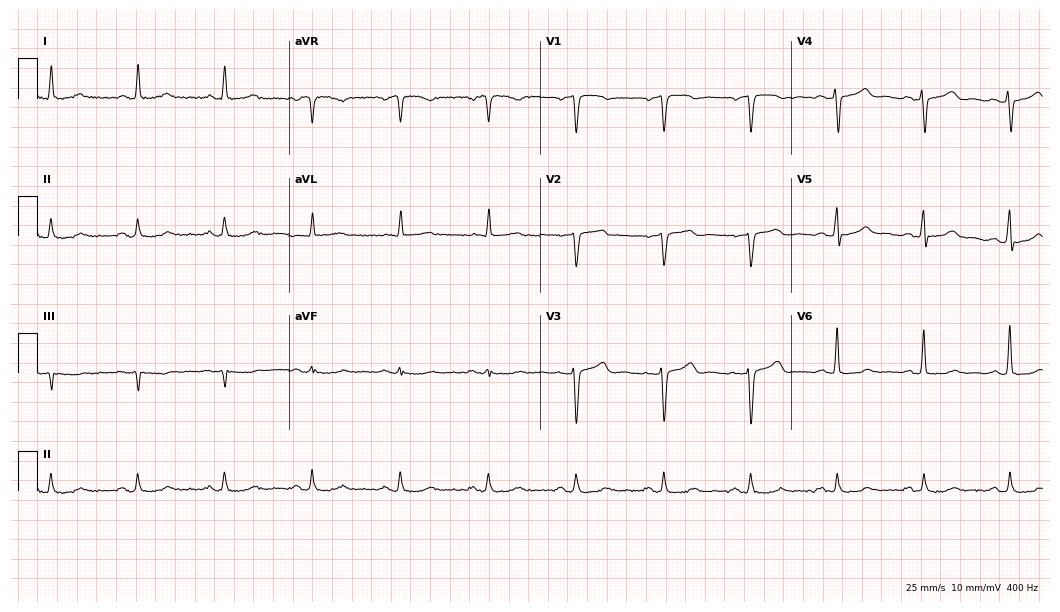
12-lead ECG from a 68-year-old male patient. No first-degree AV block, right bundle branch block (RBBB), left bundle branch block (LBBB), sinus bradycardia, atrial fibrillation (AF) or sinus tachycardia recorded for this tracing. Other findings, if any, are not listed.